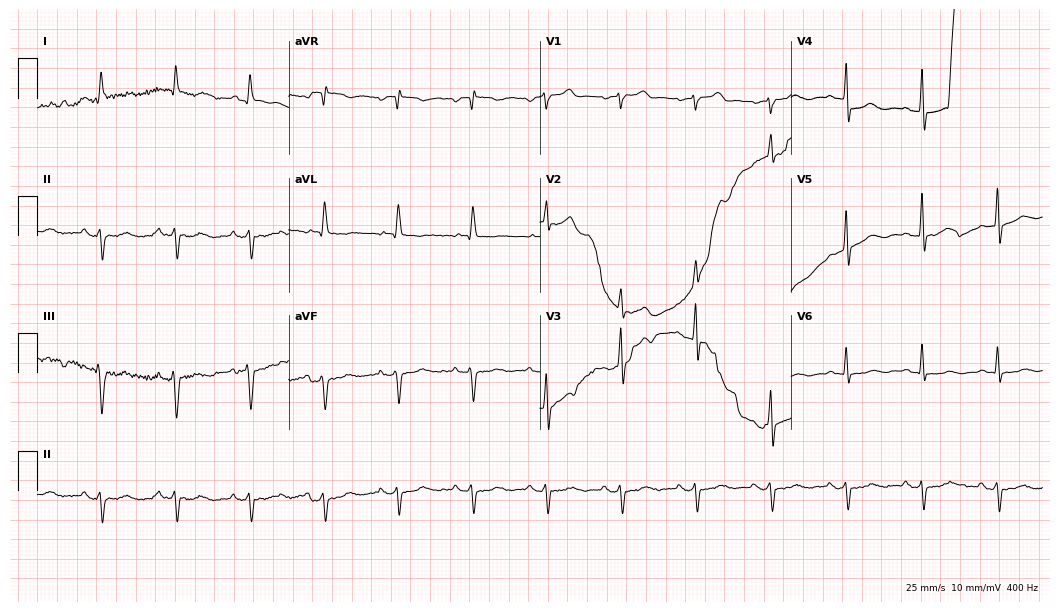
ECG (10.2-second recording at 400 Hz) — a 79-year-old male. Screened for six findings — first-degree AV block, right bundle branch block (RBBB), left bundle branch block (LBBB), sinus bradycardia, atrial fibrillation (AF), sinus tachycardia — none is recorded.